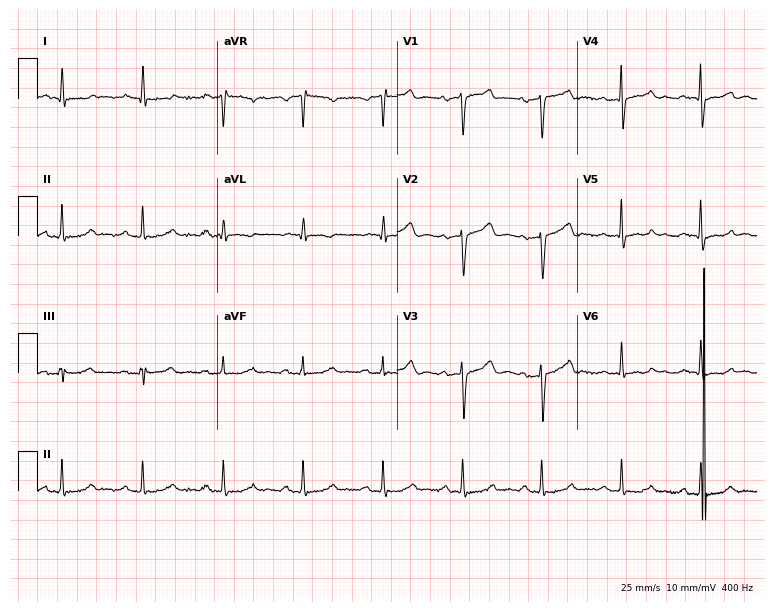
ECG — a female patient, 68 years old. Screened for six findings — first-degree AV block, right bundle branch block, left bundle branch block, sinus bradycardia, atrial fibrillation, sinus tachycardia — none is recorded. Findings outside these six are not listed.